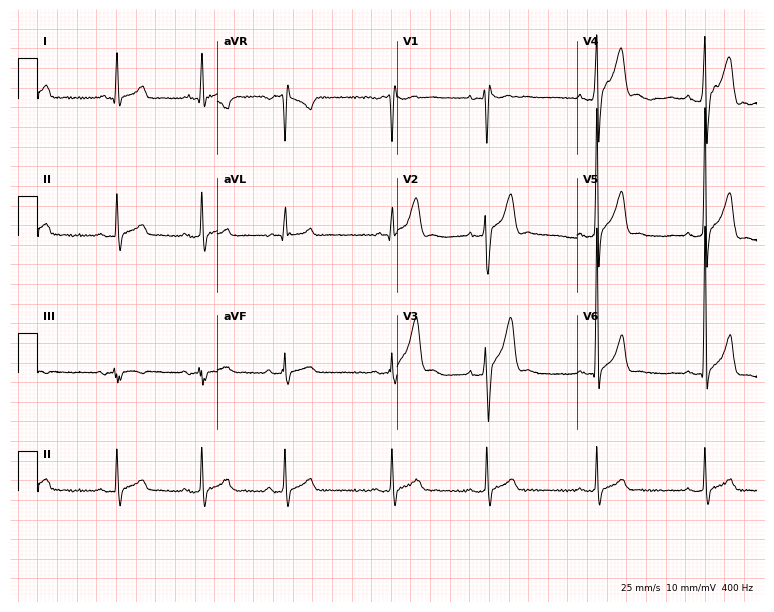
12-lead ECG from a 22-year-old man (7.3-second recording at 400 Hz). Recorded interpretation: within normal limits.